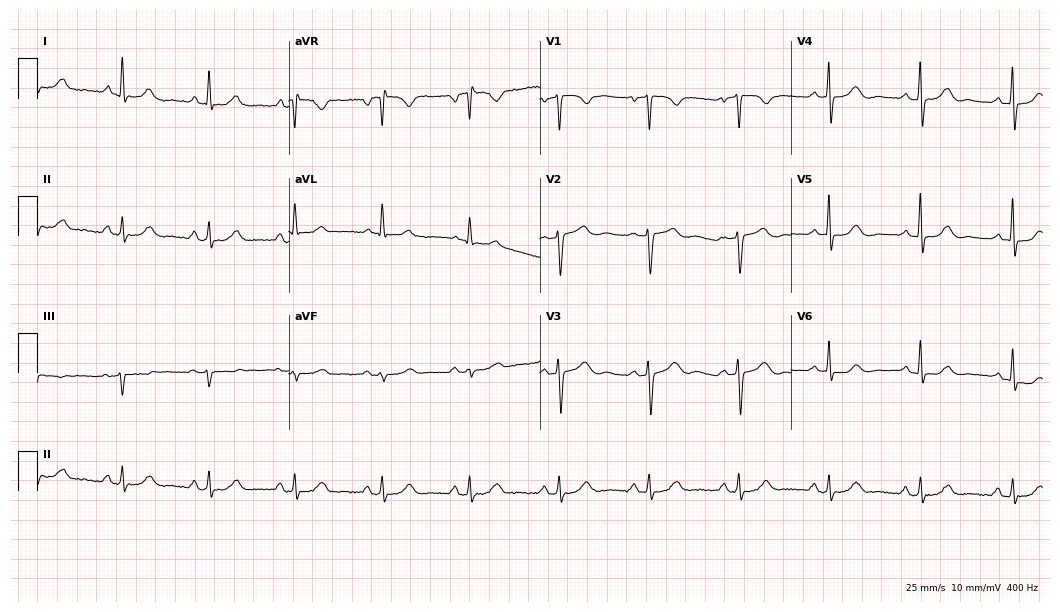
12-lead ECG from a 66-year-old female (10.2-second recording at 400 Hz). Recorded interpretation: within normal limits.